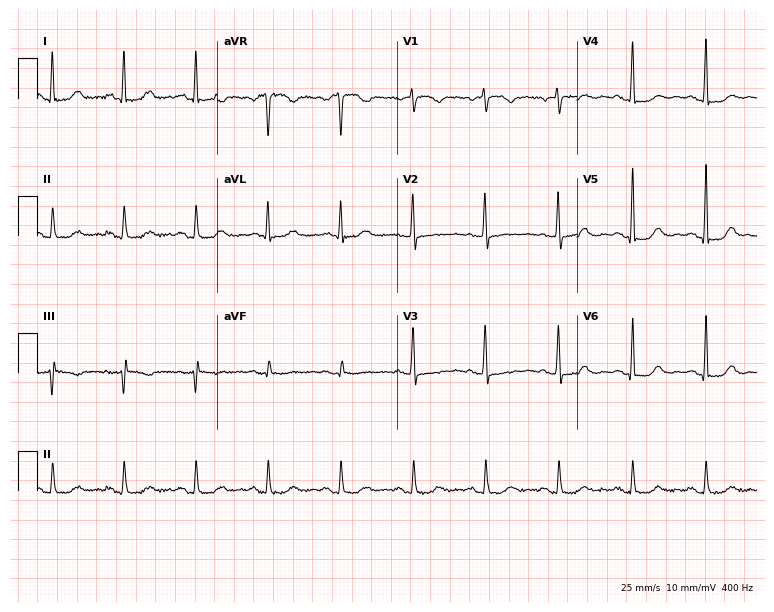
12-lead ECG from a woman, 60 years old. No first-degree AV block, right bundle branch block (RBBB), left bundle branch block (LBBB), sinus bradycardia, atrial fibrillation (AF) or sinus tachycardia recorded for this tracing. Other findings, if any, are not listed.